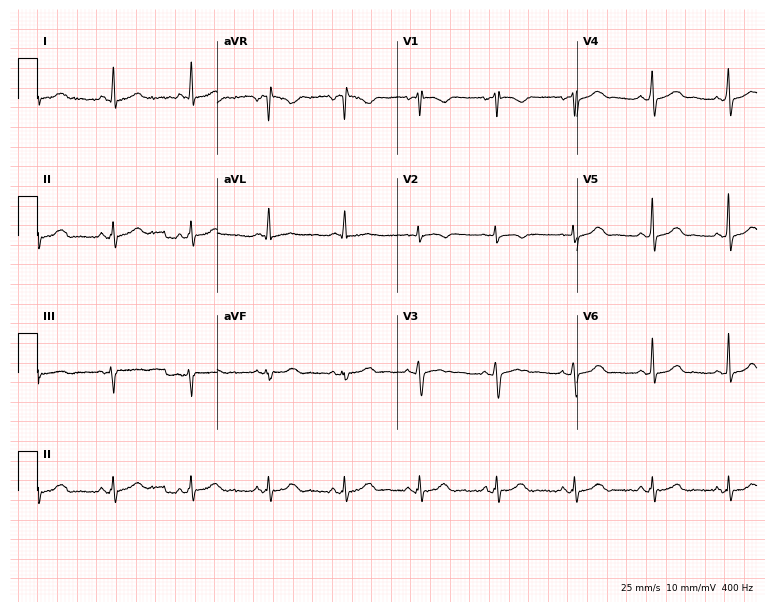
ECG (7.3-second recording at 400 Hz) — a woman, 47 years old. Screened for six findings — first-degree AV block, right bundle branch block (RBBB), left bundle branch block (LBBB), sinus bradycardia, atrial fibrillation (AF), sinus tachycardia — none is recorded.